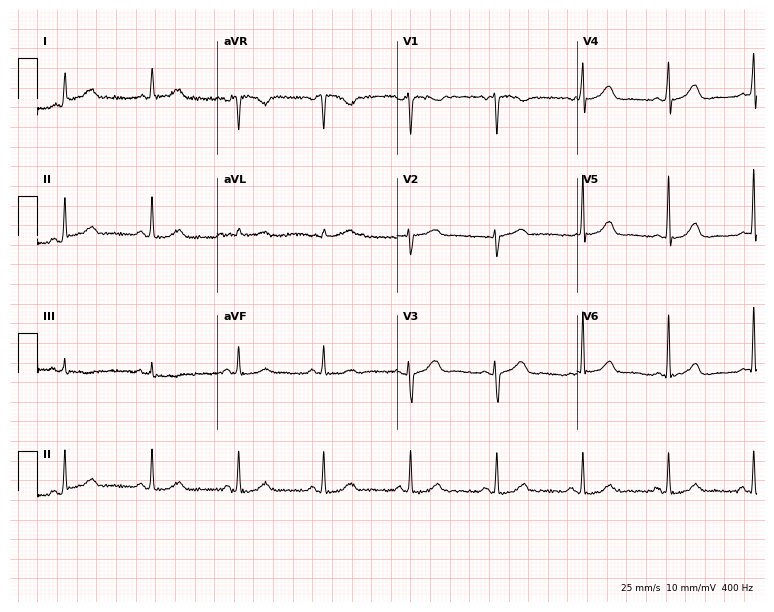
ECG — a 46-year-old female. Labelled as a normal ECG.